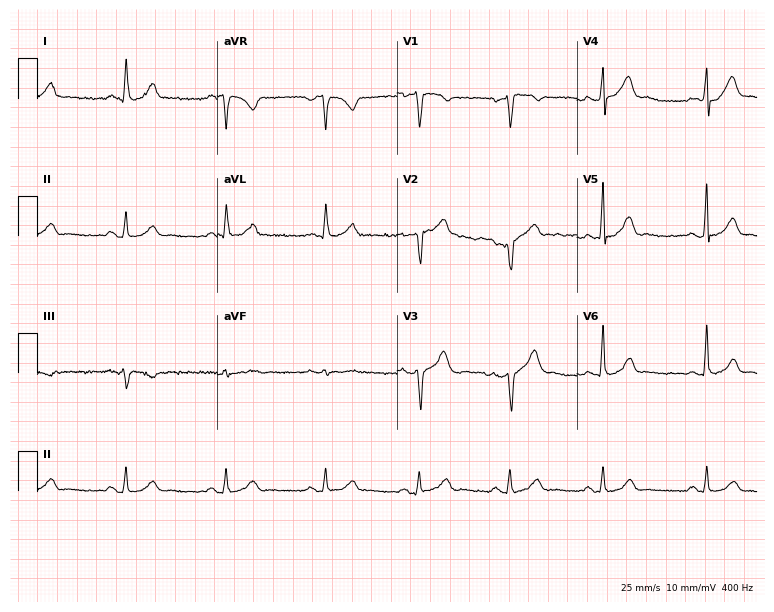
Electrocardiogram, a male patient, 38 years old. Overall reading on record: normal ECG.